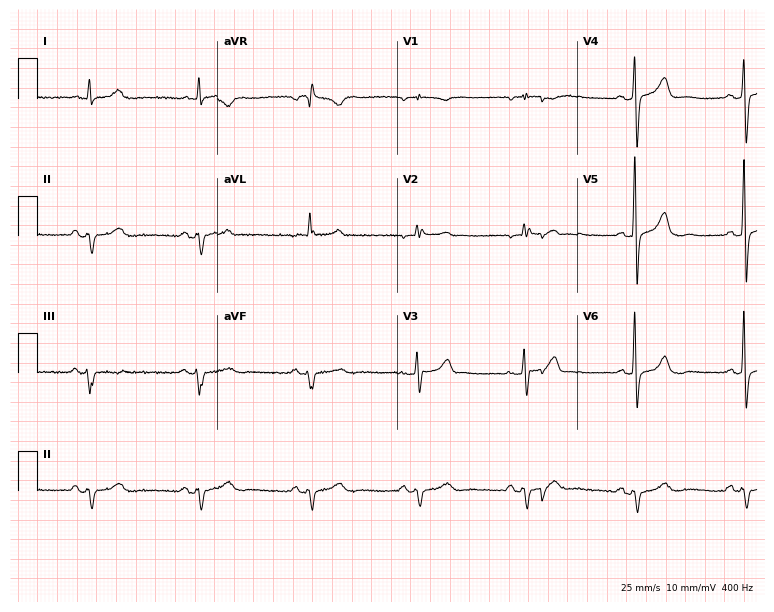
Electrocardiogram (7.3-second recording at 400 Hz), a male, 66 years old. Of the six screened findings (first-degree AV block, right bundle branch block, left bundle branch block, sinus bradycardia, atrial fibrillation, sinus tachycardia), none is recorded.